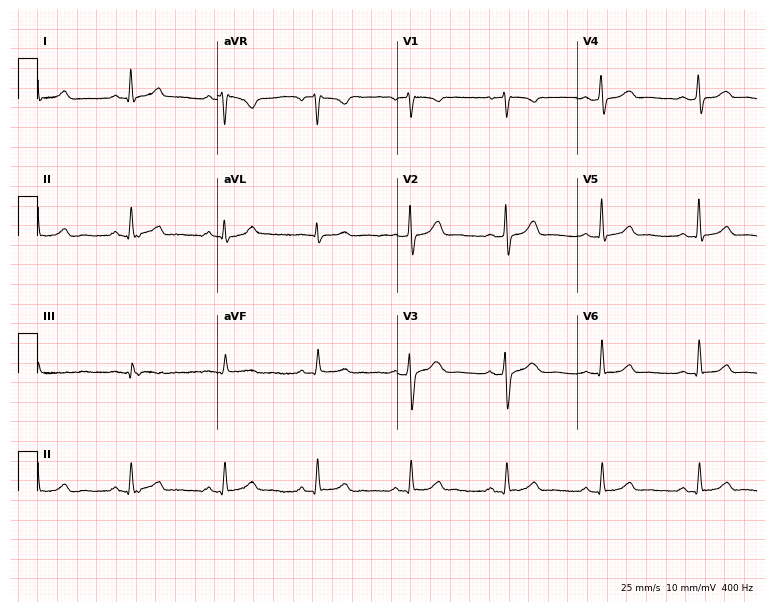
12-lead ECG from a 52-year-old man. Recorded interpretation: within normal limits.